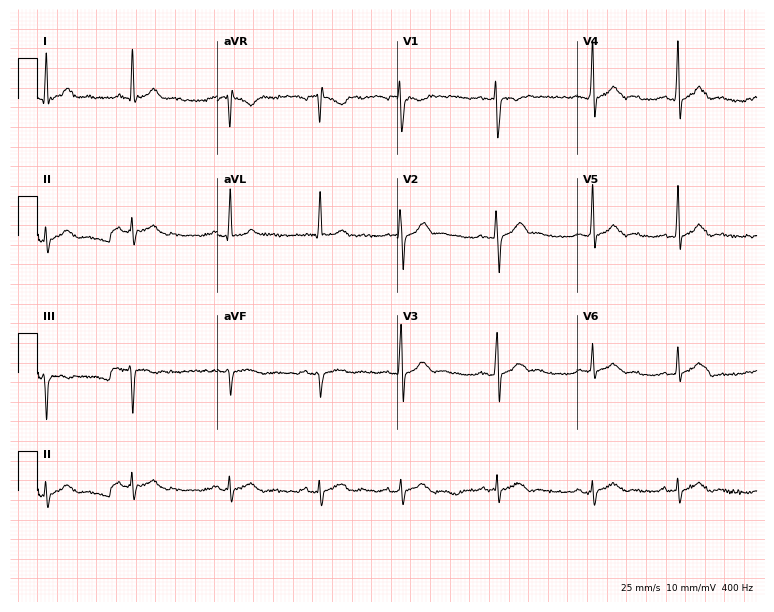
12-lead ECG from a 29-year-old man (7.3-second recording at 400 Hz). No first-degree AV block, right bundle branch block (RBBB), left bundle branch block (LBBB), sinus bradycardia, atrial fibrillation (AF) or sinus tachycardia recorded for this tracing.